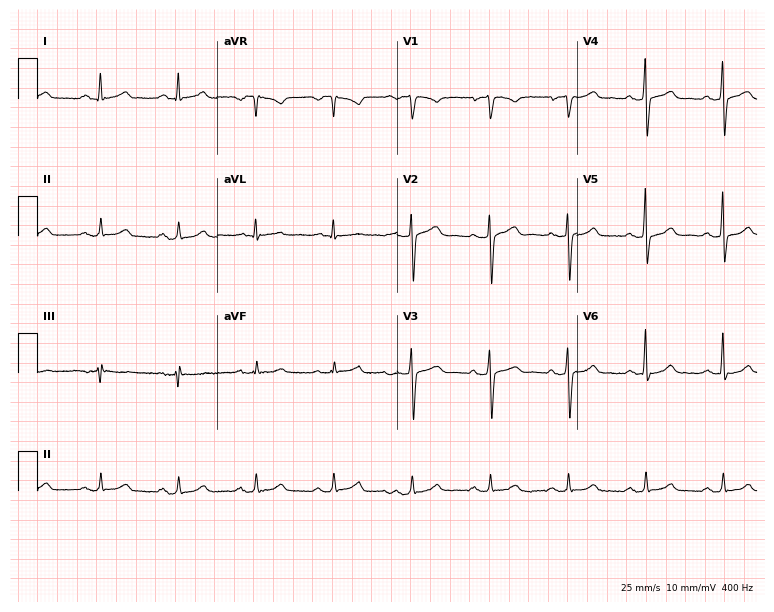
Electrocardiogram, a male patient, 52 years old. Overall reading on record: normal ECG.